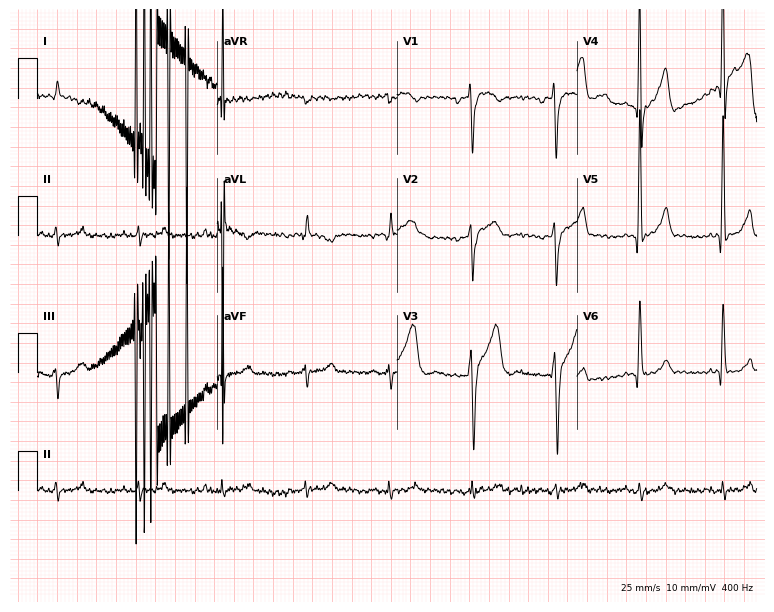
Standard 12-lead ECG recorded from an 81-year-old male. None of these six findings is recorded: first-degree AV block, right bundle branch block (RBBB), left bundle branch block (LBBB), sinus bradycardia, atrial fibrillation (AF), sinus tachycardia.